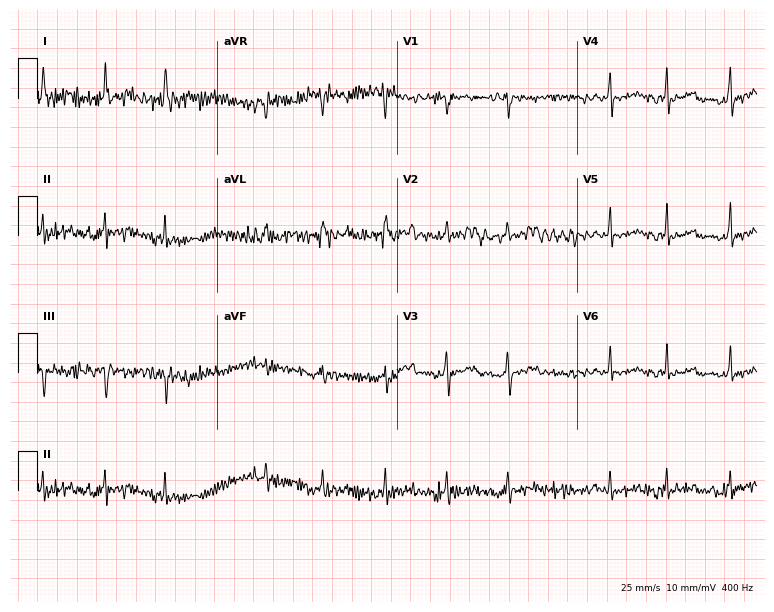
ECG — a 35-year-old woman. Screened for six findings — first-degree AV block, right bundle branch block (RBBB), left bundle branch block (LBBB), sinus bradycardia, atrial fibrillation (AF), sinus tachycardia — none is recorded.